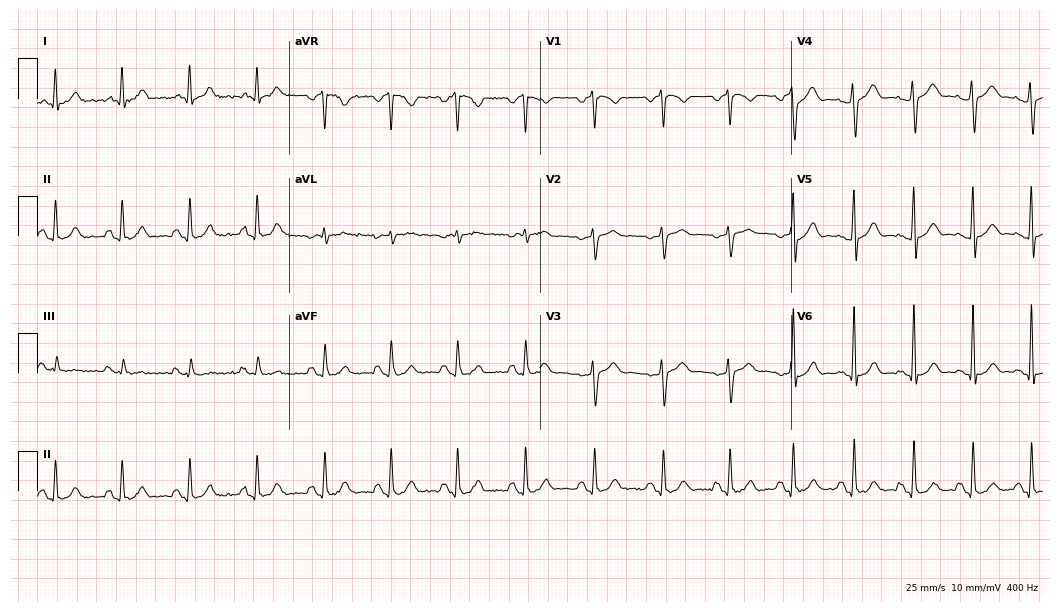
ECG — a 40-year-old male. Screened for six findings — first-degree AV block, right bundle branch block, left bundle branch block, sinus bradycardia, atrial fibrillation, sinus tachycardia — none is recorded.